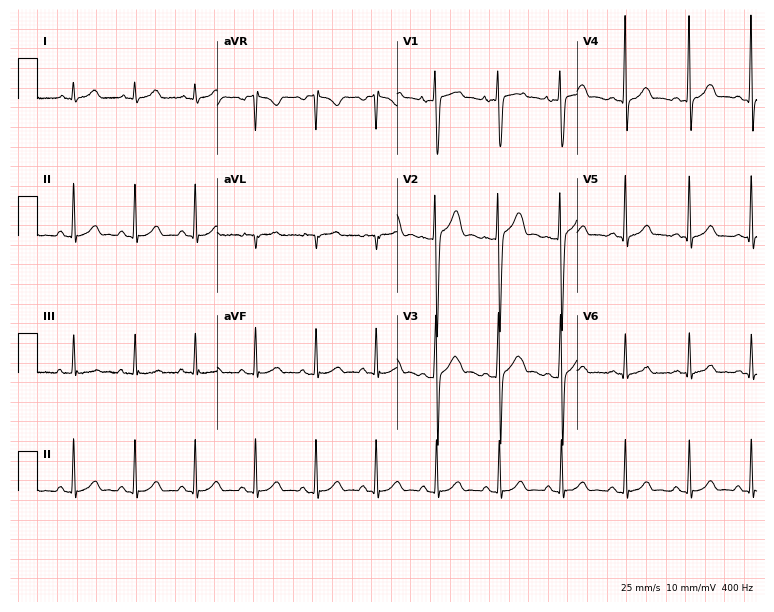
12-lead ECG from an 18-year-old man (7.3-second recording at 400 Hz). Recorded interpretation: within normal limits.